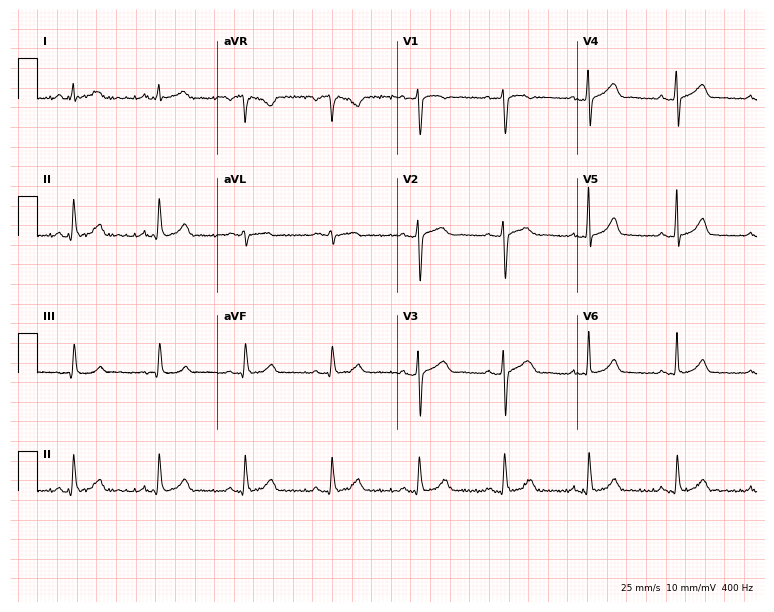
12-lead ECG from a 39-year-old female patient. Recorded interpretation: within normal limits.